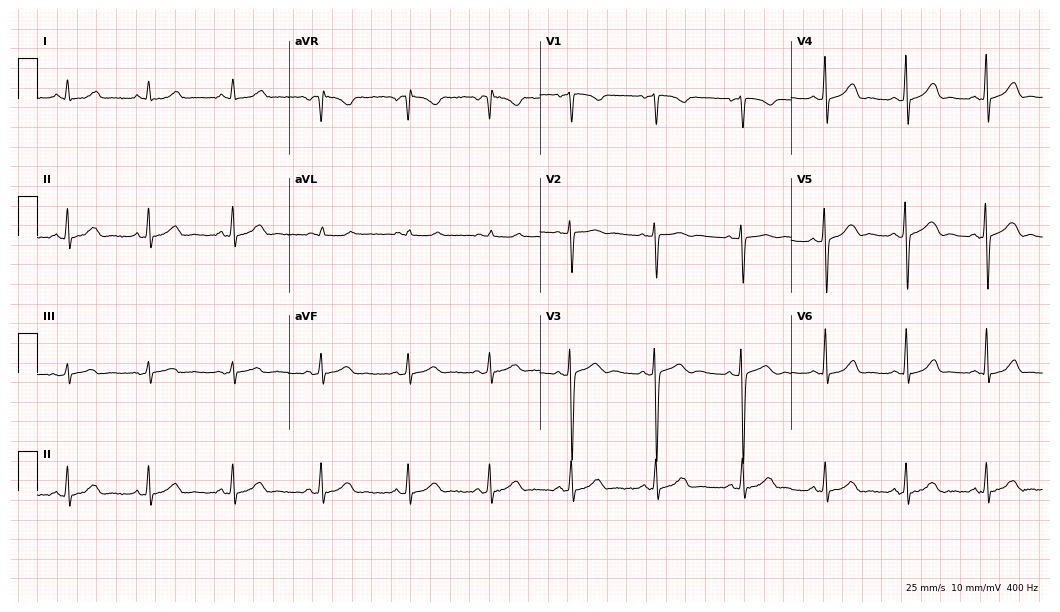
ECG (10.2-second recording at 400 Hz) — a female patient, 22 years old. Labelled as a normal ECG.